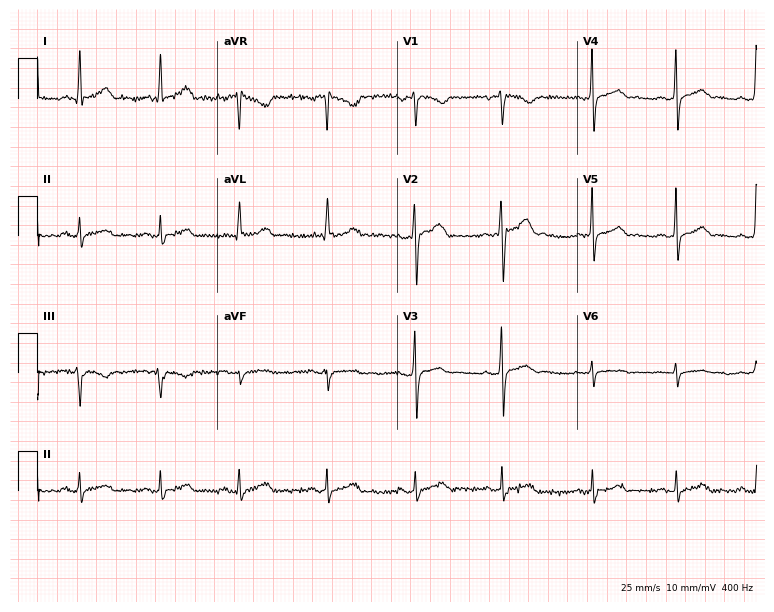
12-lead ECG from a 42-year-old male (7.3-second recording at 400 Hz). Recorded interpretation: within normal limits.